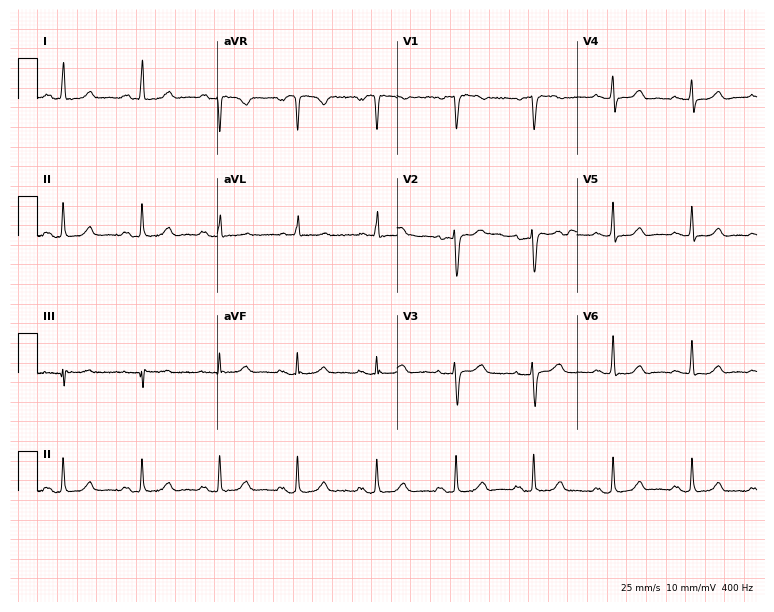
12-lead ECG from a 60-year-old female (7.3-second recording at 400 Hz). No first-degree AV block, right bundle branch block, left bundle branch block, sinus bradycardia, atrial fibrillation or sinus tachycardia recorded for this tracing.